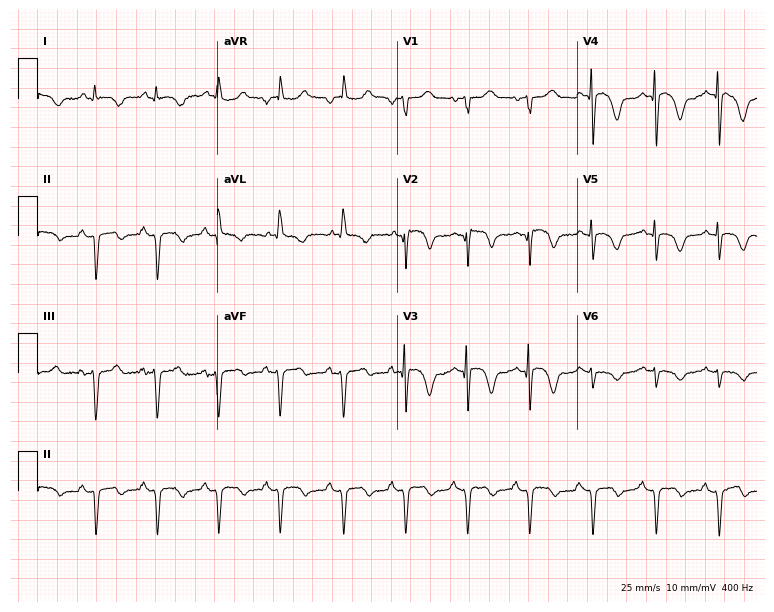
Electrocardiogram, a 77-year-old woman. Of the six screened findings (first-degree AV block, right bundle branch block, left bundle branch block, sinus bradycardia, atrial fibrillation, sinus tachycardia), none is recorded. Other findings, if any, are not listed.